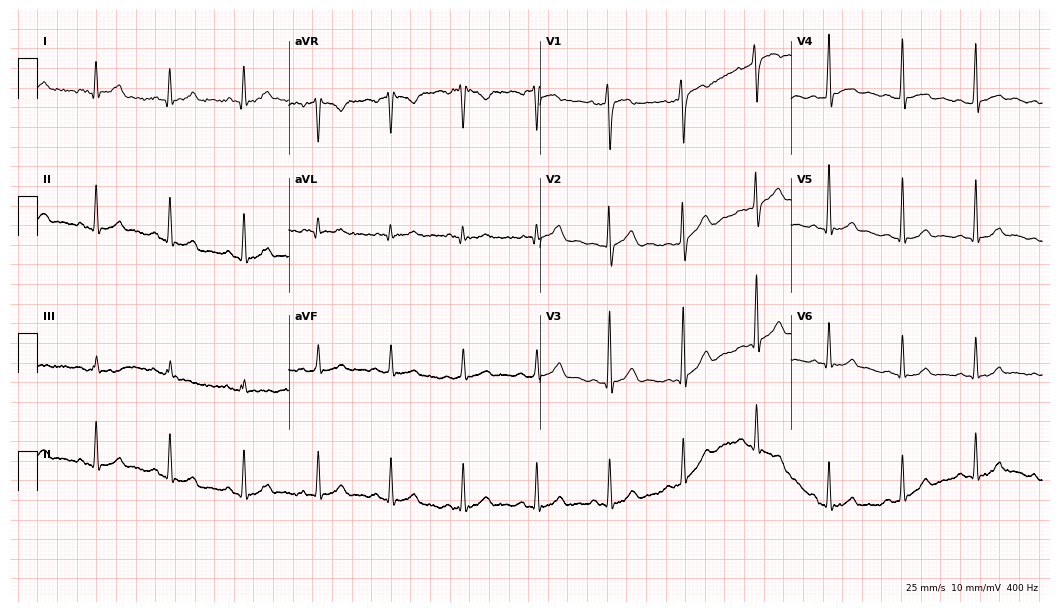
ECG — a man, 63 years old. Labelled as a normal ECG.